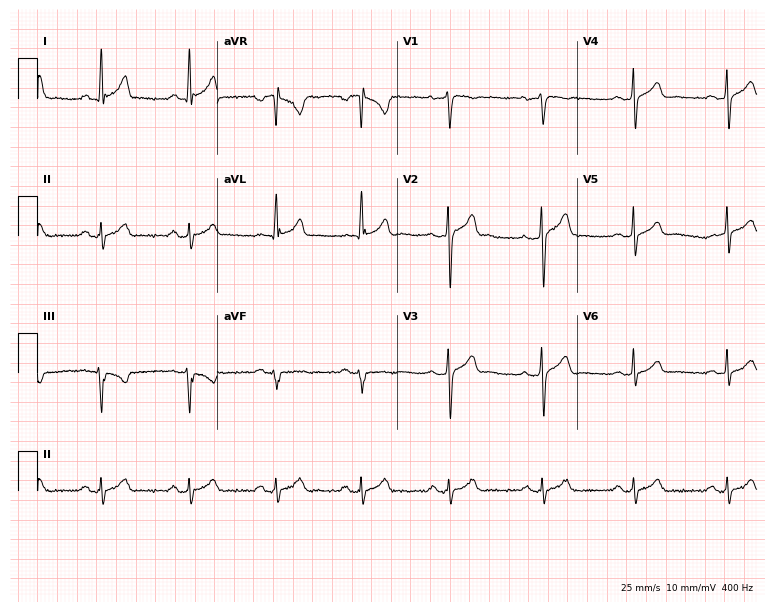
12-lead ECG from a man, 40 years old. Recorded interpretation: within normal limits.